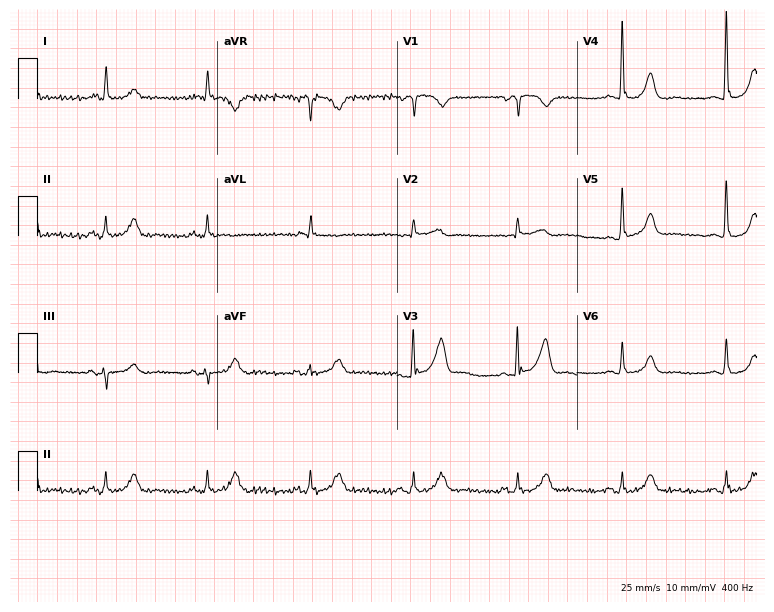
Standard 12-lead ECG recorded from a 76-year-old male patient (7.3-second recording at 400 Hz). Read as a normal ECG.